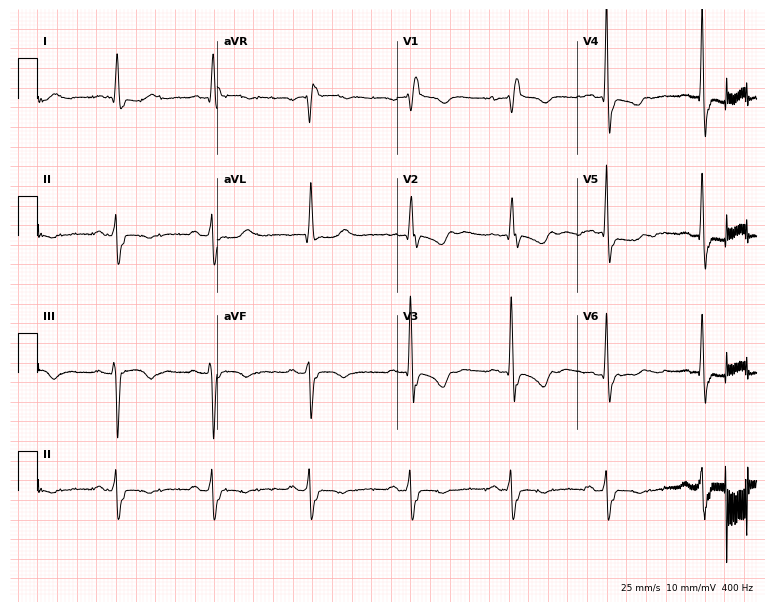
12-lead ECG from a woman, 78 years old. Shows right bundle branch block.